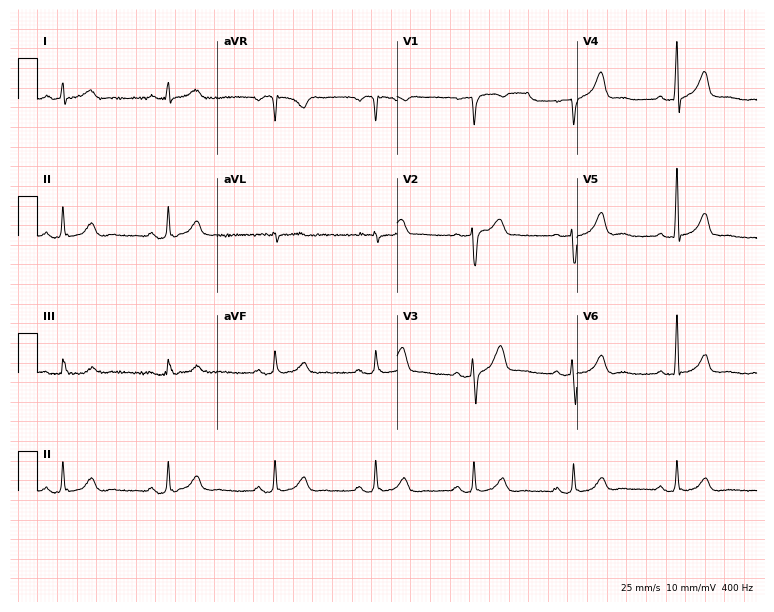
Standard 12-lead ECG recorded from a 57-year-old man. Read as a normal ECG.